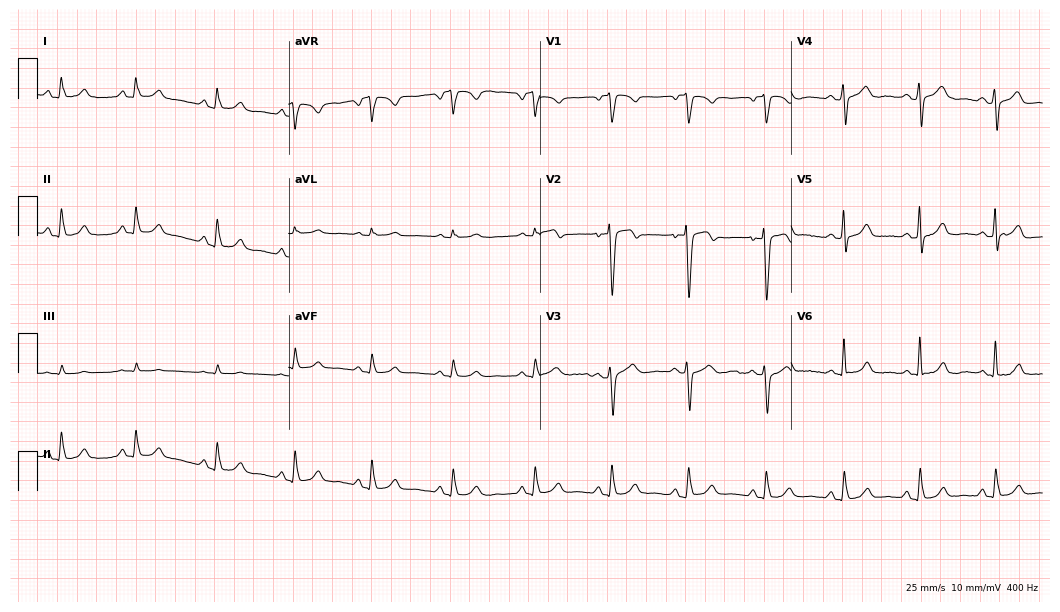
Electrocardiogram (10.2-second recording at 400 Hz), a 55-year-old man. Overall reading on record: normal ECG.